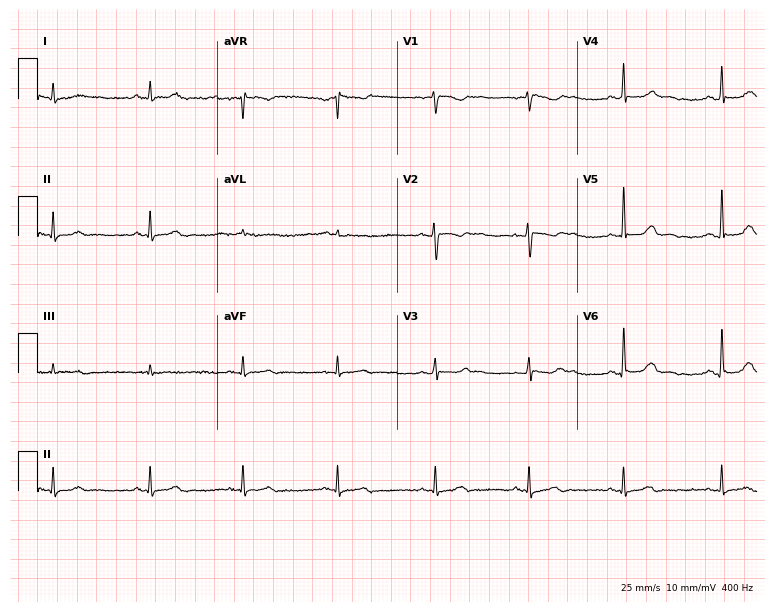
Electrocardiogram, a 33-year-old woman. Overall reading on record: normal ECG.